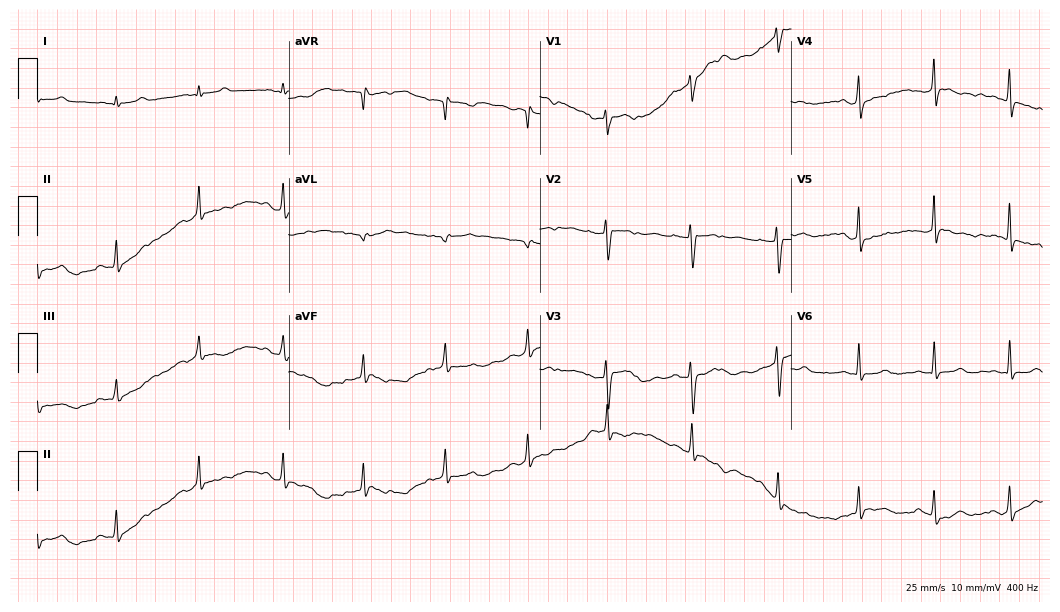
Standard 12-lead ECG recorded from a 29-year-old female (10.2-second recording at 400 Hz). None of these six findings is recorded: first-degree AV block, right bundle branch block, left bundle branch block, sinus bradycardia, atrial fibrillation, sinus tachycardia. Other findings, if any, are not listed.